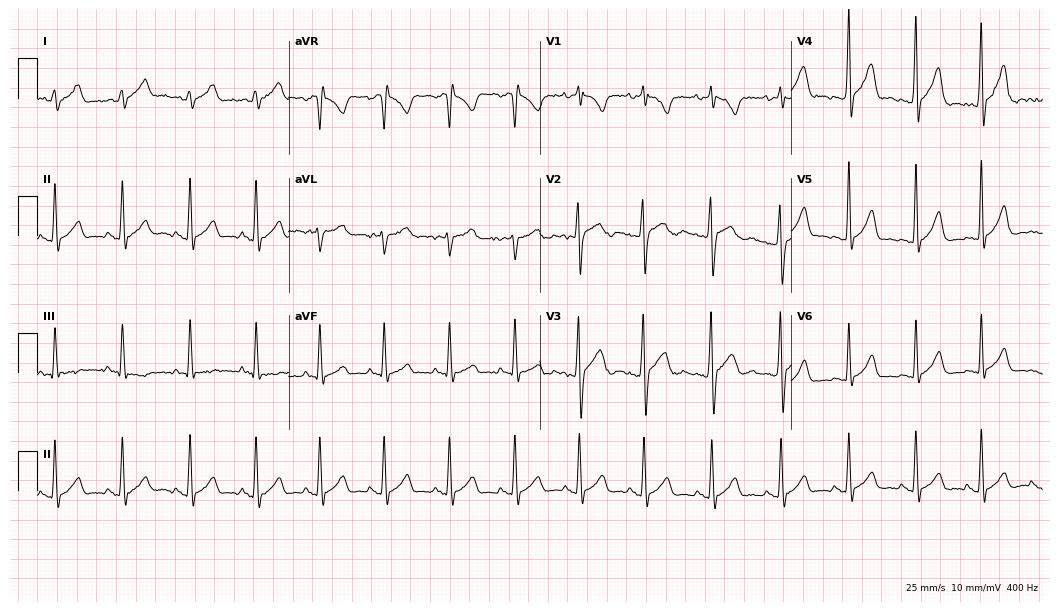
12-lead ECG from a male patient, 17 years old. Recorded interpretation: within normal limits.